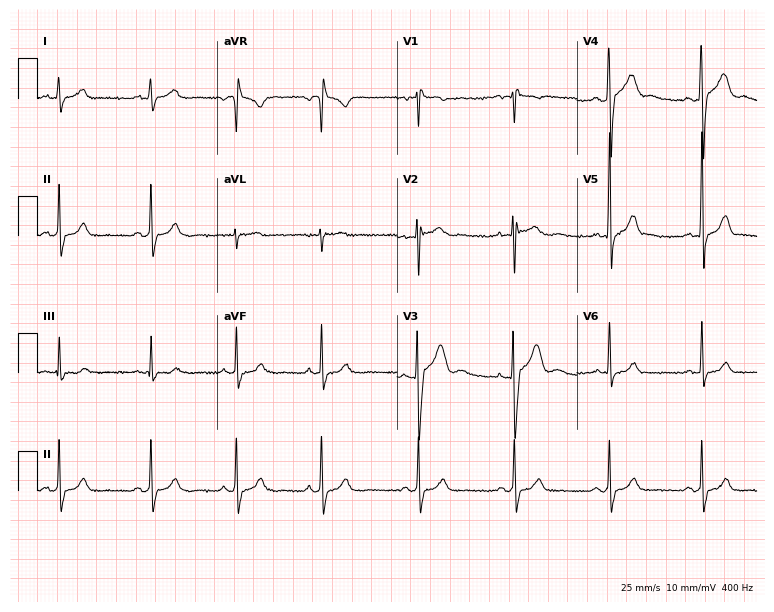
Resting 12-lead electrocardiogram. Patient: a 20-year-old male. None of these six findings is recorded: first-degree AV block, right bundle branch block, left bundle branch block, sinus bradycardia, atrial fibrillation, sinus tachycardia. Findings outside these six are not listed.